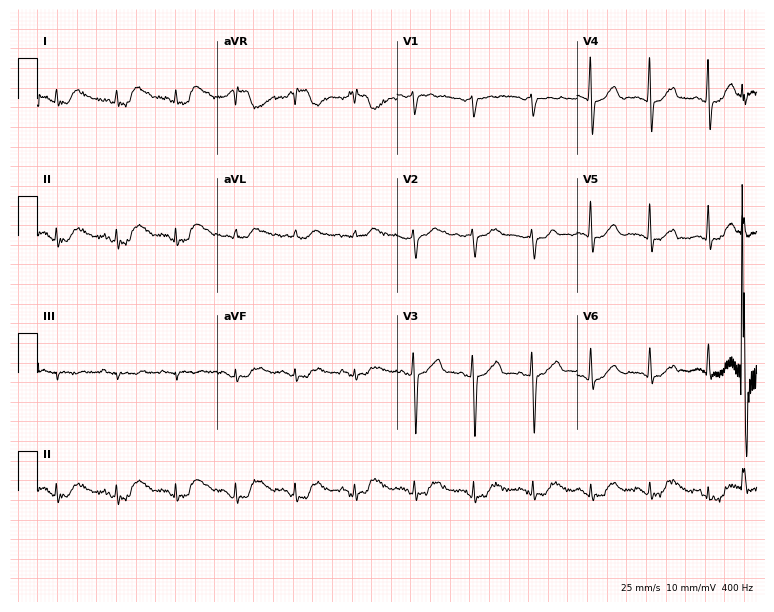
12-lead ECG (7.3-second recording at 400 Hz) from a 66-year-old male. Labelled as a normal ECG.